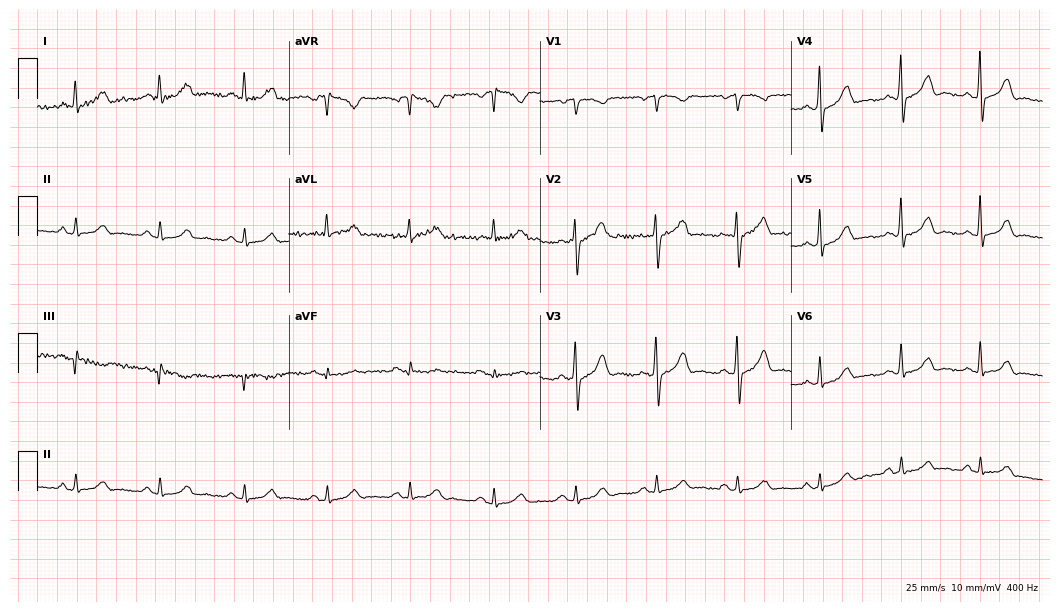
12-lead ECG from a 58-year-old male (10.2-second recording at 400 Hz). No first-degree AV block, right bundle branch block, left bundle branch block, sinus bradycardia, atrial fibrillation or sinus tachycardia recorded for this tracing.